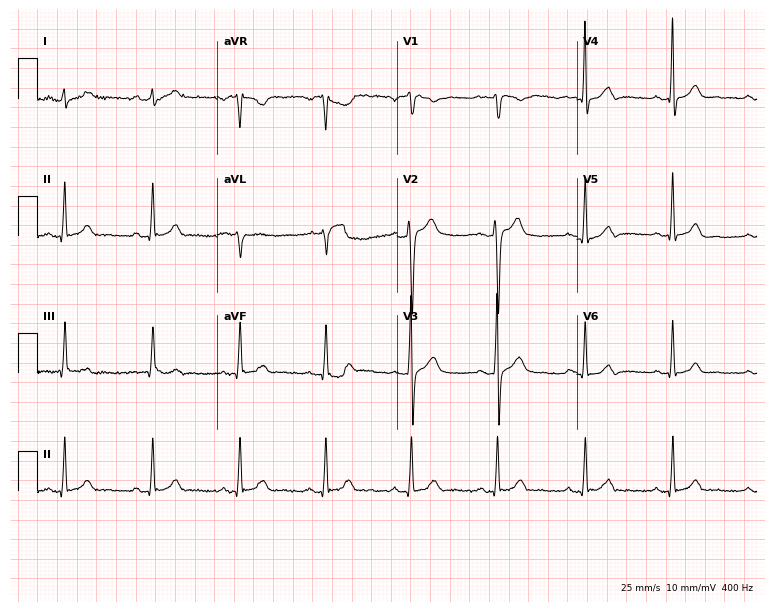
Electrocardiogram (7.3-second recording at 400 Hz), a 37-year-old male patient. Overall reading on record: normal ECG.